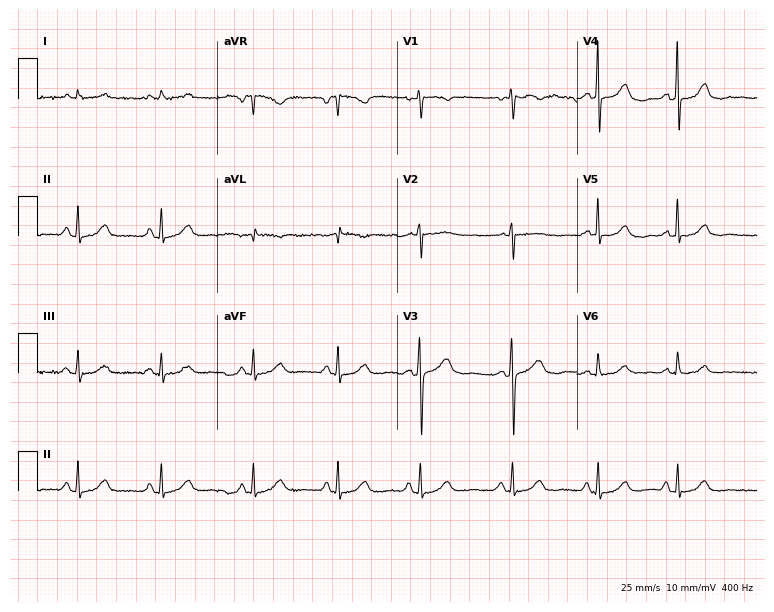
12-lead ECG from a female, 57 years old. Recorded interpretation: within normal limits.